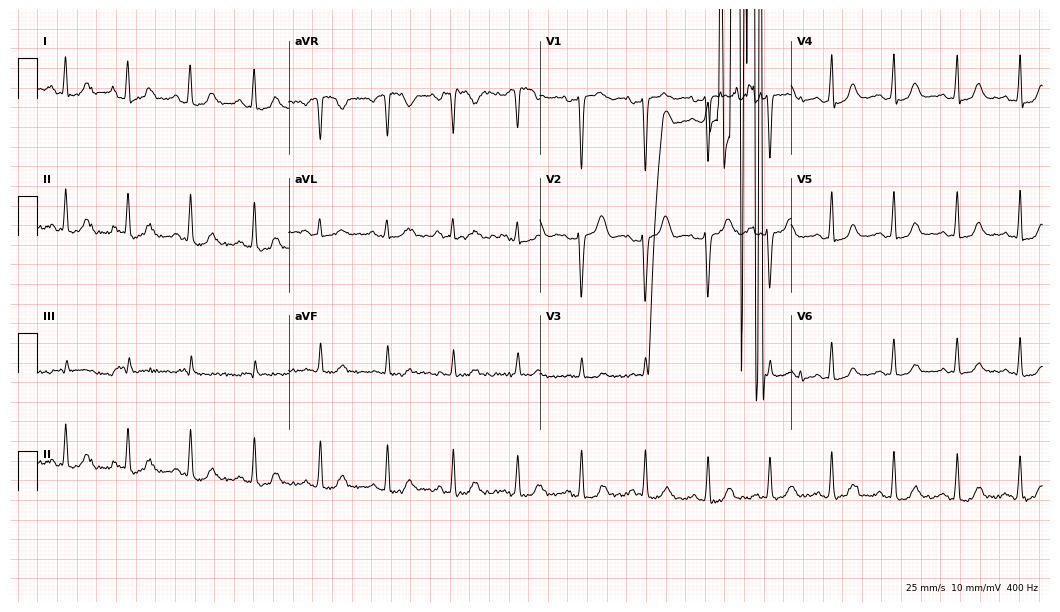
12-lead ECG from a 50-year-old female. Screened for six findings — first-degree AV block, right bundle branch block, left bundle branch block, sinus bradycardia, atrial fibrillation, sinus tachycardia — none is recorded.